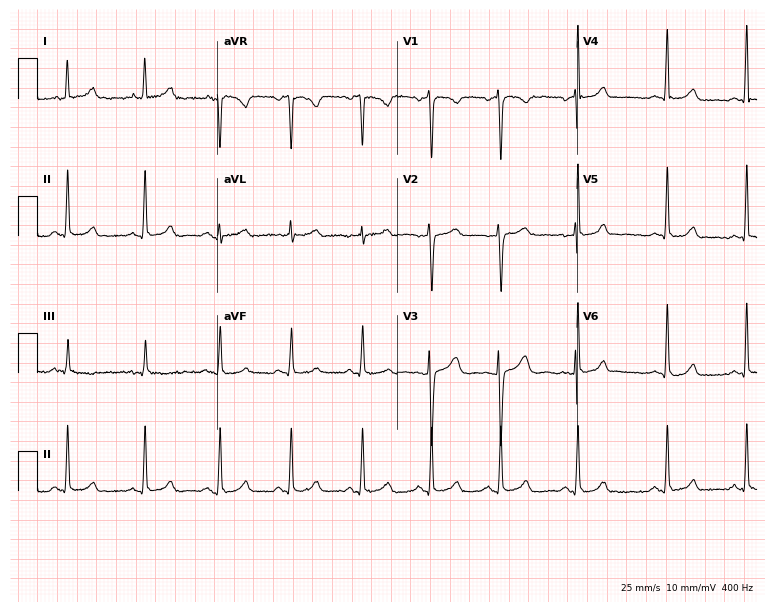
Resting 12-lead electrocardiogram. Patient: a female, 31 years old. Read as a normal ECG.